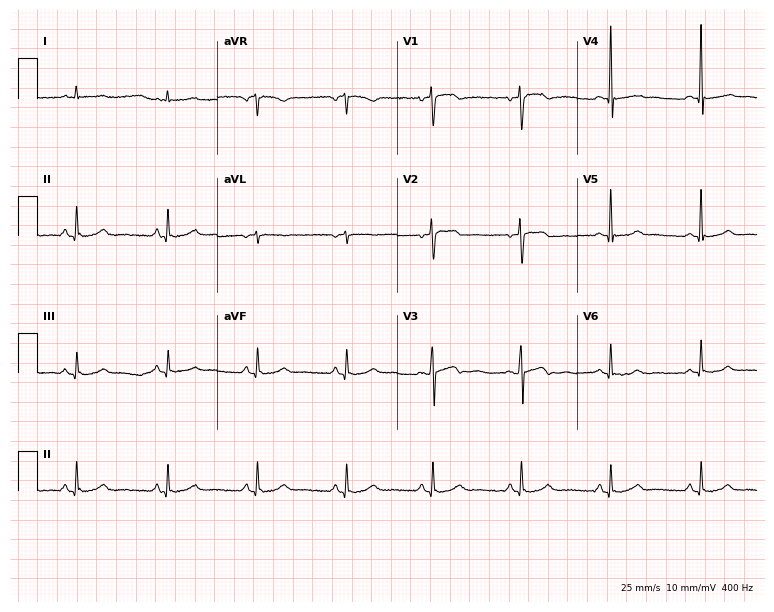
Electrocardiogram, a woman, 36 years old. Overall reading on record: normal ECG.